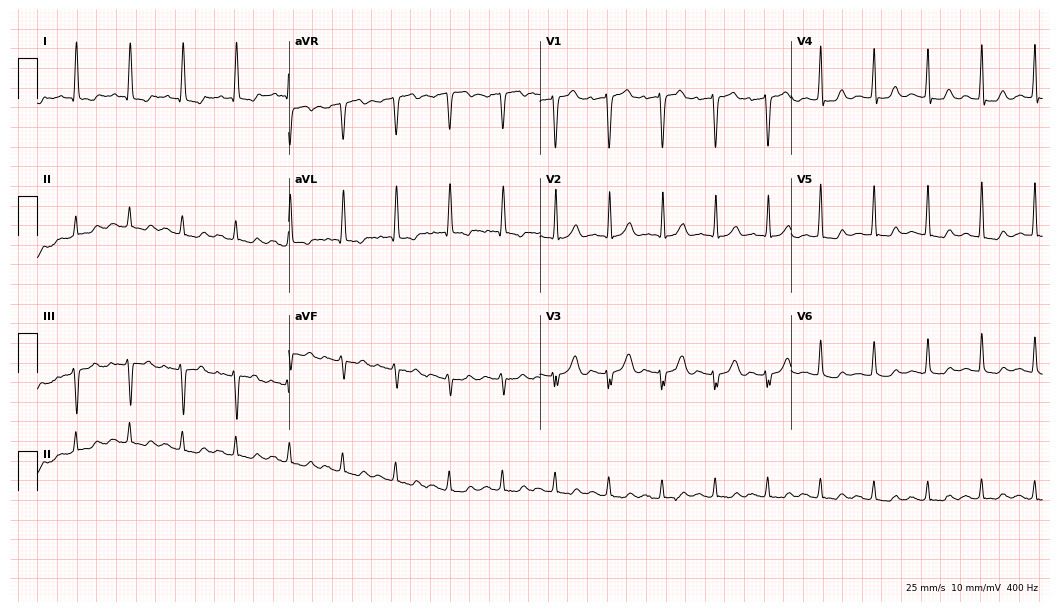
Electrocardiogram, a female patient, 57 years old. Of the six screened findings (first-degree AV block, right bundle branch block, left bundle branch block, sinus bradycardia, atrial fibrillation, sinus tachycardia), none is recorded.